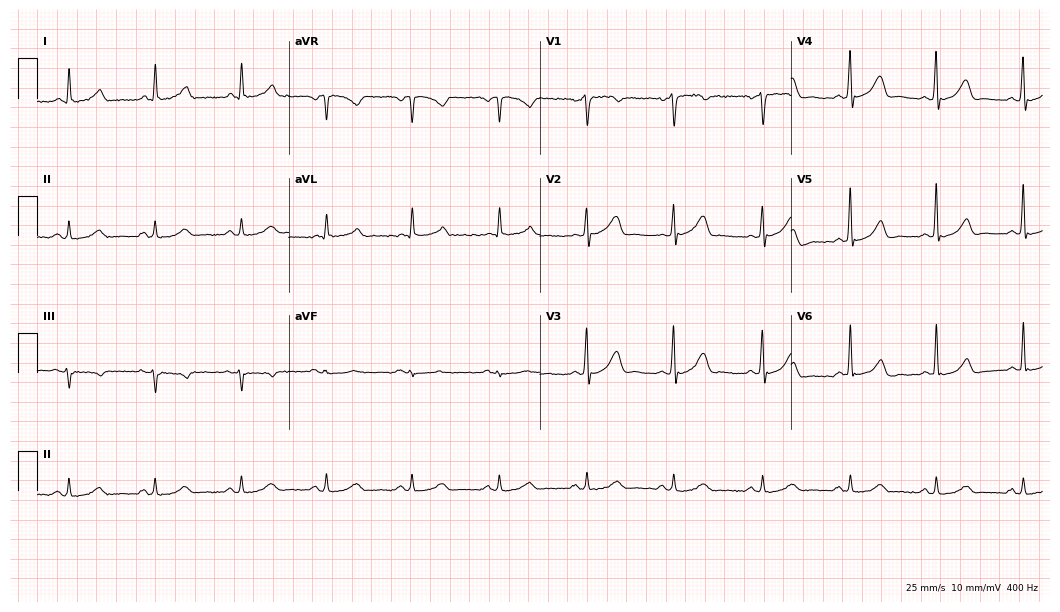
12-lead ECG from a 57-year-old man. Labelled as a normal ECG.